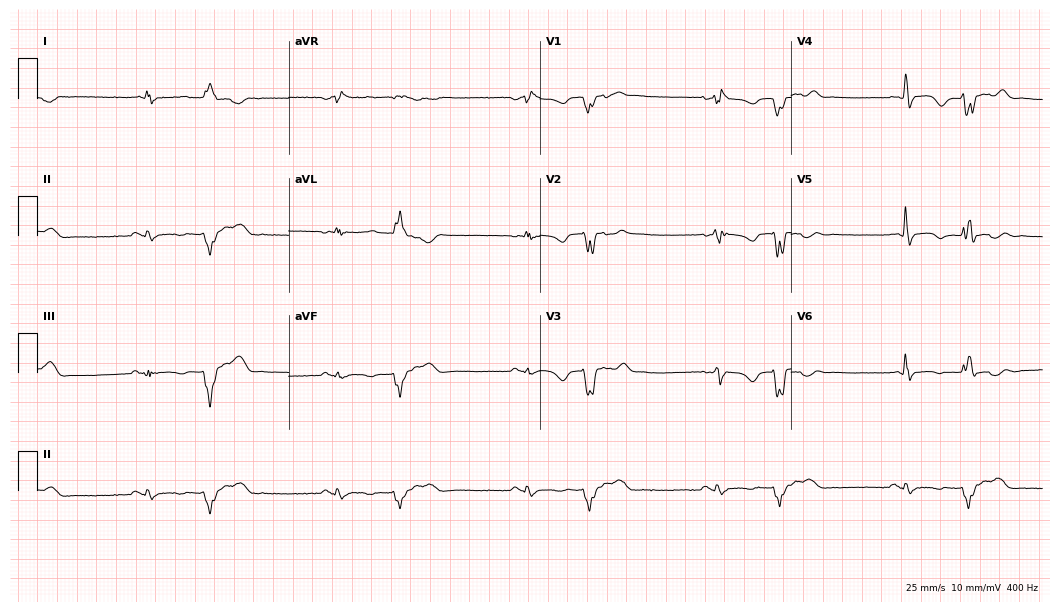
12-lead ECG (10.2-second recording at 400 Hz) from a female patient, 49 years old. Screened for six findings — first-degree AV block, right bundle branch block, left bundle branch block, sinus bradycardia, atrial fibrillation, sinus tachycardia — none is recorded. Other findings, if any, are not listed.